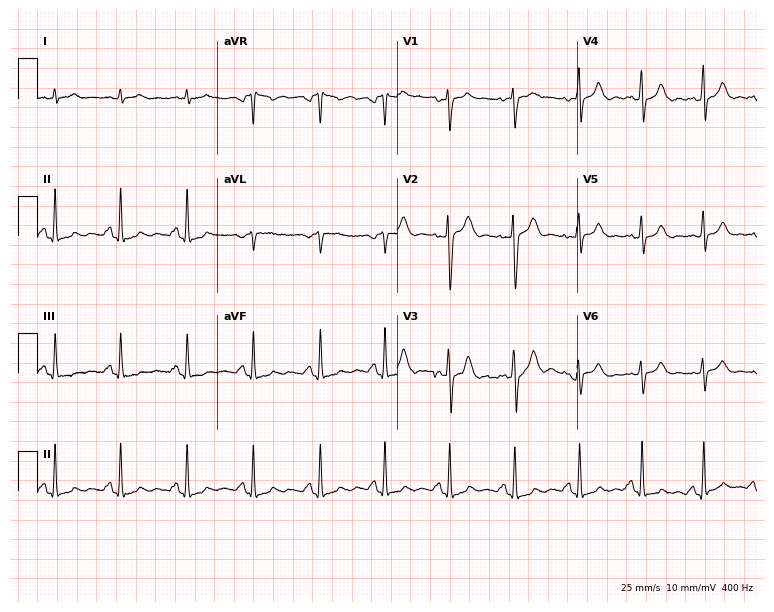
12-lead ECG from a woman, 35 years old (7.3-second recording at 400 Hz). Recorded interpretation: within normal limits.